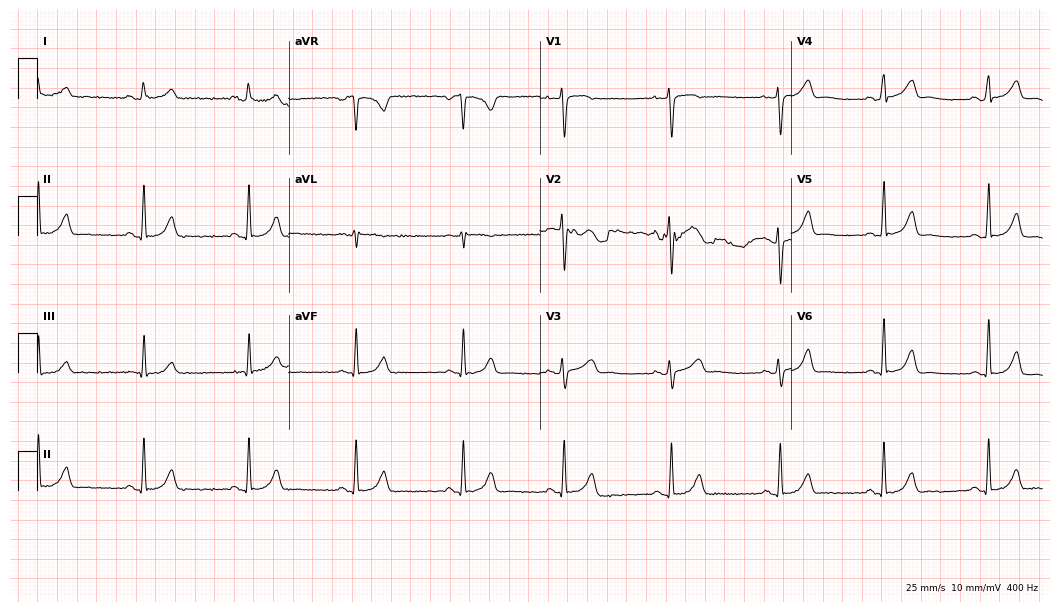
Resting 12-lead electrocardiogram (10.2-second recording at 400 Hz). Patient: a female, 30 years old. None of these six findings is recorded: first-degree AV block, right bundle branch block, left bundle branch block, sinus bradycardia, atrial fibrillation, sinus tachycardia.